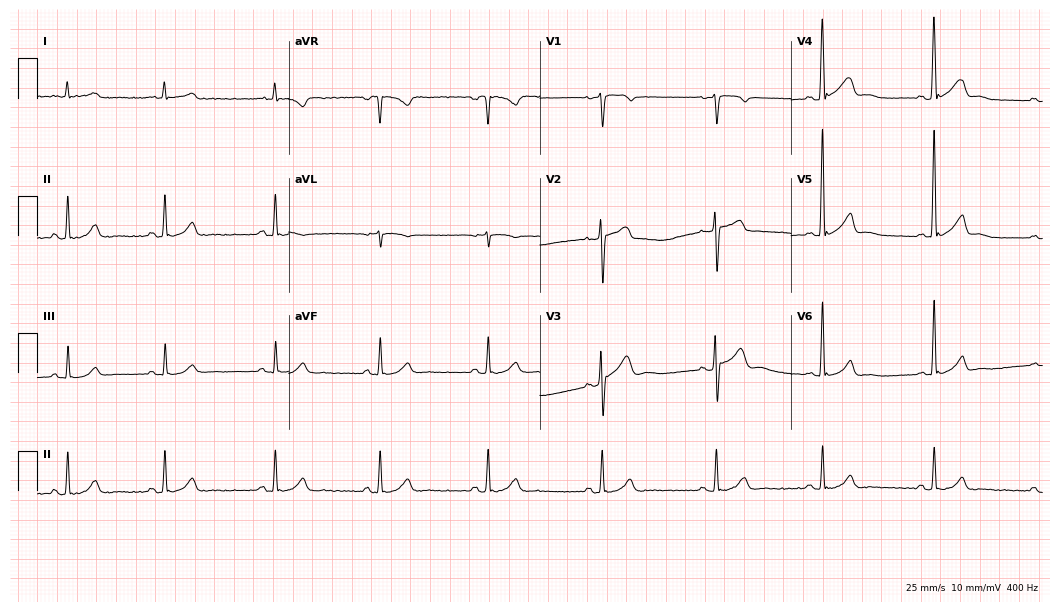
Electrocardiogram, a 41-year-old man. Of the six screened findings (first-degree AV block, right bundle branch block, left bundle branch block, sinus bradycardia, atrial fibrillation, sinus tachycardia), none is recorded.